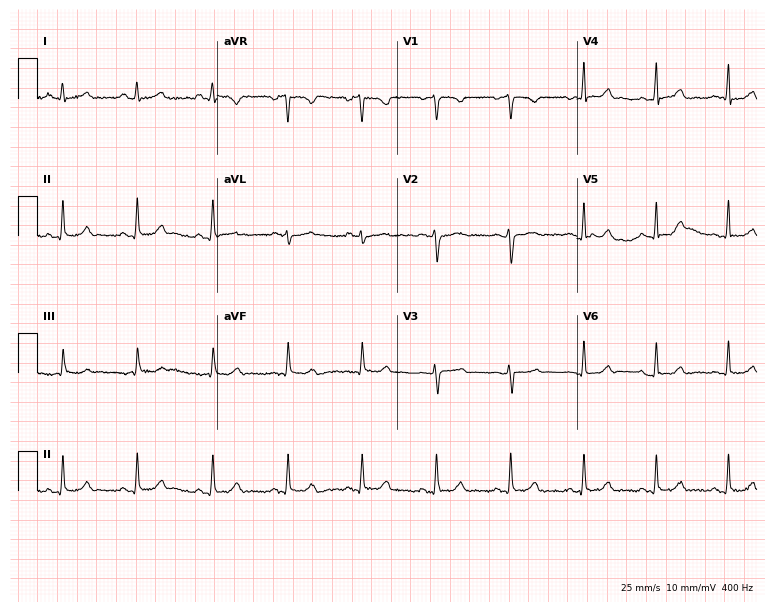
Electrocardiogram (7.3-second recording at 400 Hz), a female patient, 38 years old. Of the six screened findings (first-degree AV block, right bundle branch block (RBBB), left bundle branch block (LBBB), sinus bradycardia, atrial fibrillation (AF), sinus tachycardia), none is recorded. Findings outside these six are not listed.